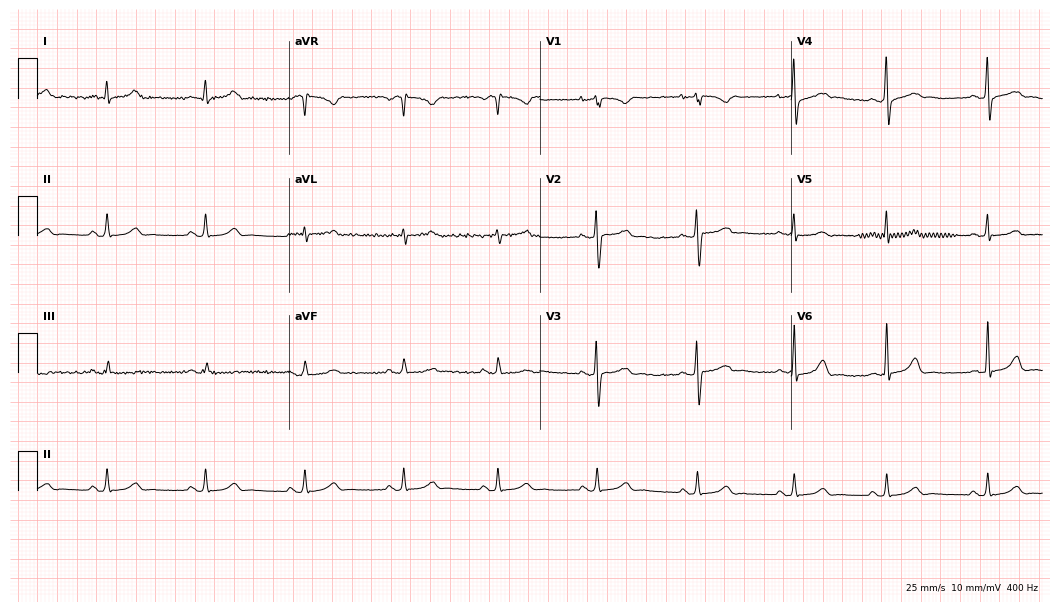
12-lead ECG from a female, 29 years old. Labelled as a normal ECG.